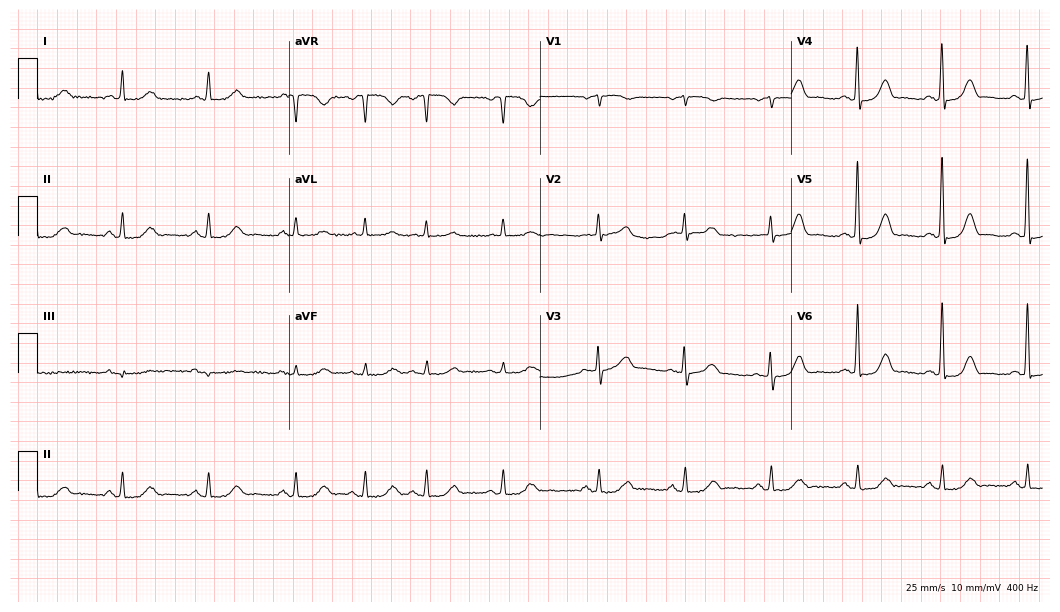
Standard 12-lead ECG recorded from a 78-year-old woman (10.2-second recording at 400 Hz). Read as a normal ECG.